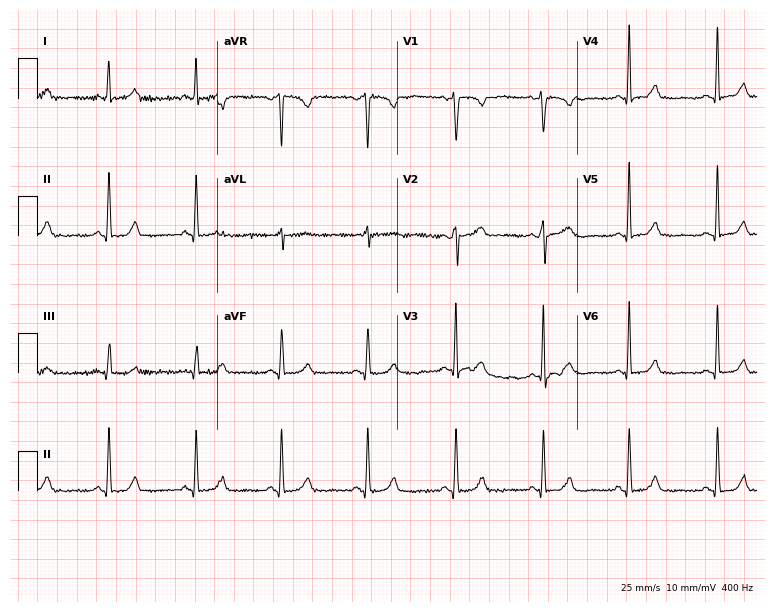
Resting 12-lead electrocardiogram. Patient: a 65-year-old female. None of these six findings is recorded: first-degree AV block, right bundle branch block, left bundle branch block, sinus bradycardia, atrial fibrillation, sinus tachycardia.